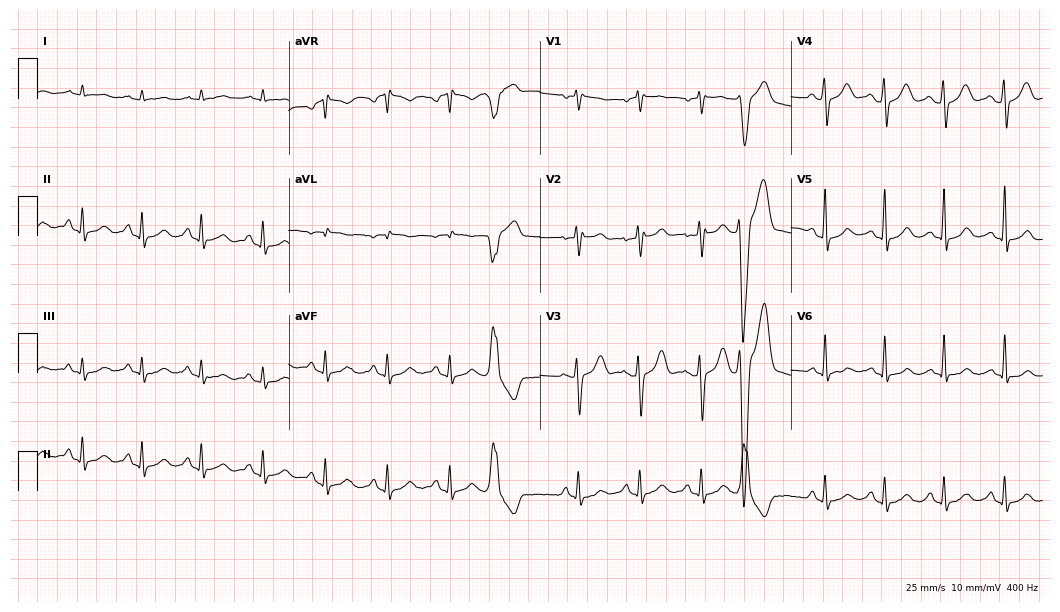
12-lead ECG from a female patient, 57 years old (10.2-second recording at 400 Hz). No first-degree AV block, right bundle branch block, left bundle branch block, sinus bradycardia, atrial fibrillation or sinus tachycardia recorded for this tracing.